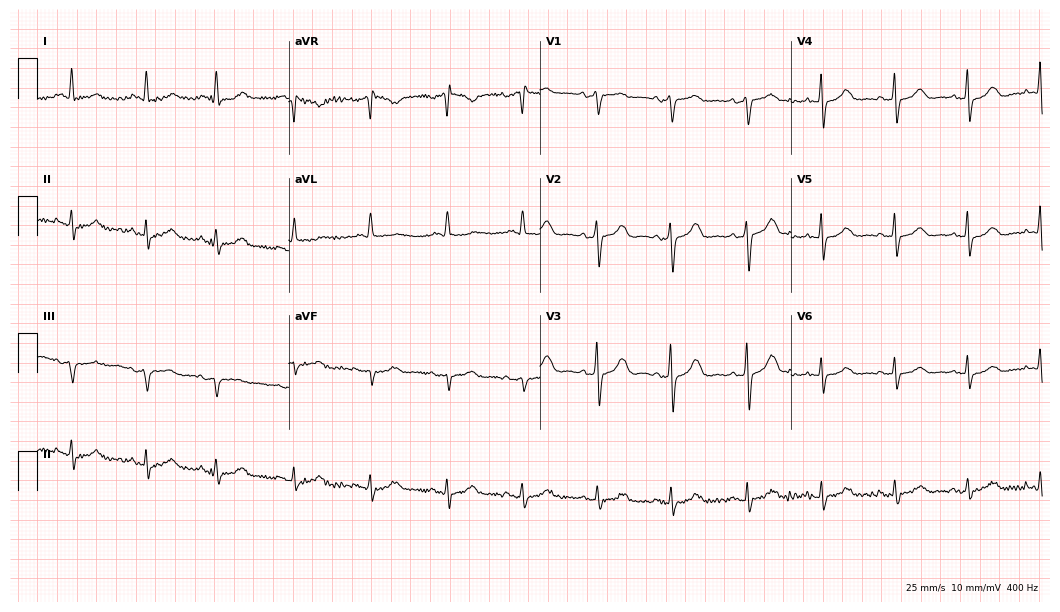
12-lead ECG (10.2-second recording at 400 Hz) from a female, 69 years old. Screened for six findings — first-degree AV block, right bundle branch block, left bundle branch block, sinus bradycardia, atrial fibrillation, sinus tachycardia — none is recorded.